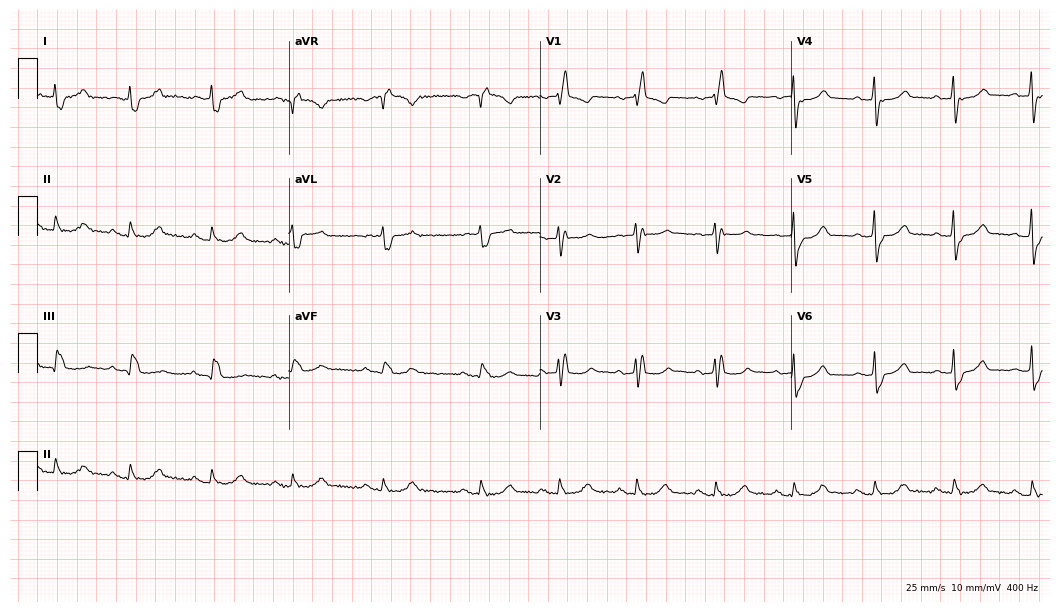
Electrocardiogram, a male patient, 76 years old. Interpretation includes right bundle branch block (RBBB).